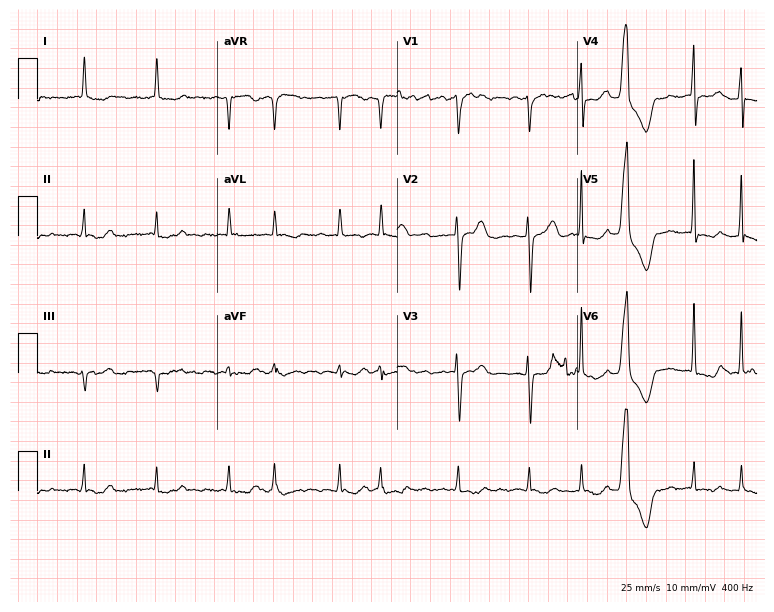
Standard 12-lead ECG recorded from a woman, 79 years old. The tracing shows atrial fibrillation (AF).